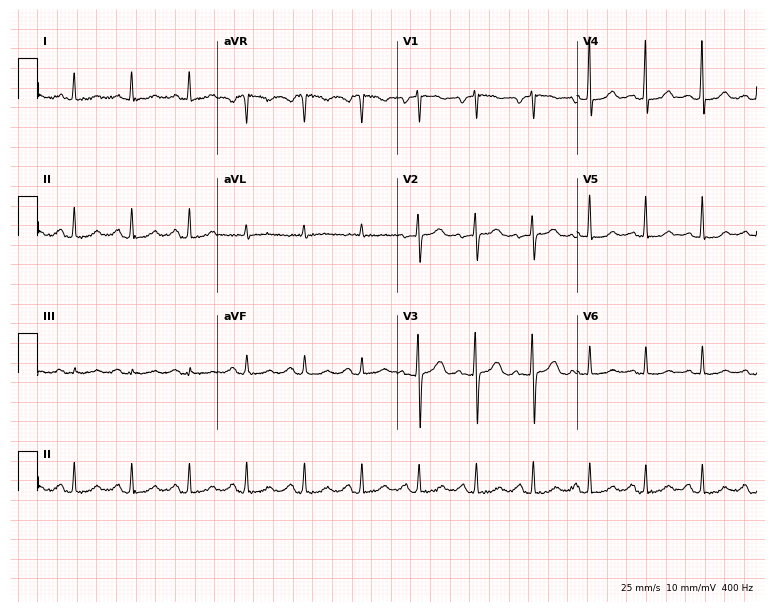
Electrocardiogram (7.3-second recording at 400 Hz), a female, 63 years old. Overall reading on record: normal ECG.